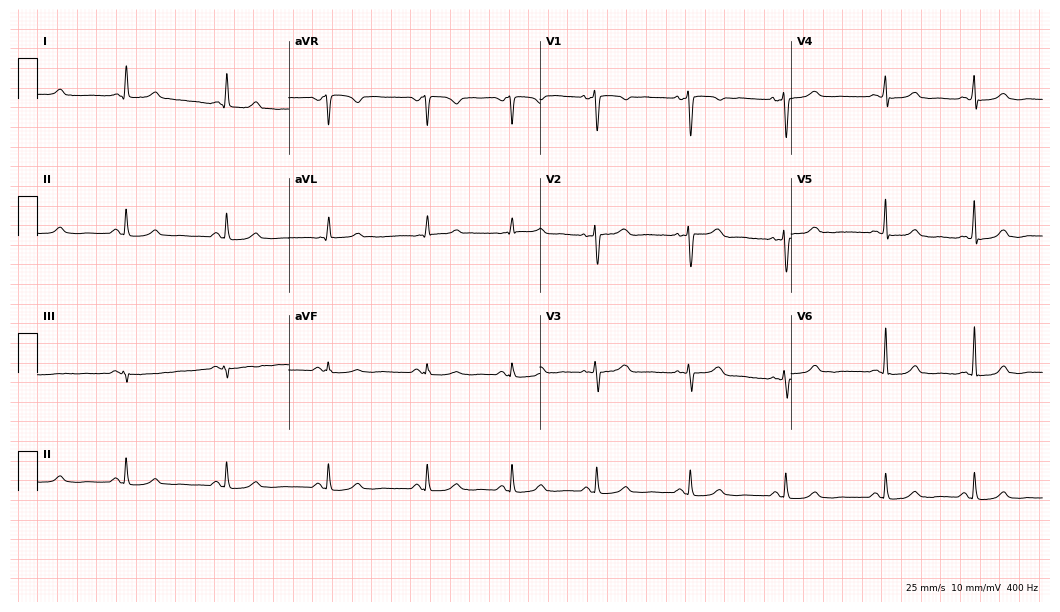
12-lead ECG (10.2-second recording at 400 Hz) from a woman, 46 years old. Screened for six findings — first-degree AV block, right bundle branch block, left bundle branch block, sinus bradycardia, atrial fibrillation, sinus tachycardia — none is recorded.